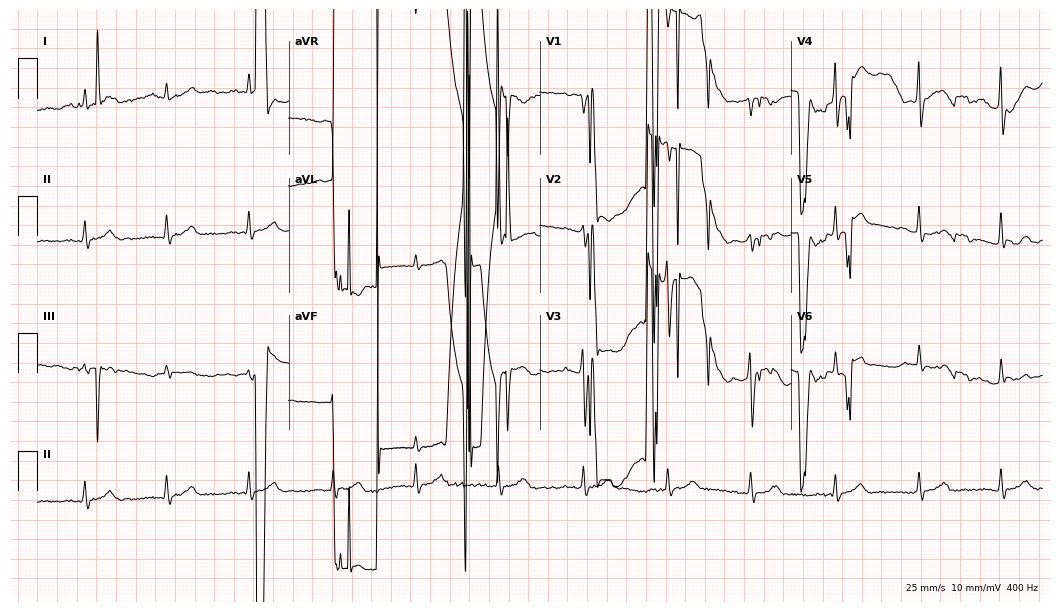
Electrocardiogram (10.2-second recording at 400 Hz), a 61-year-old male. Of the six screened findings (first-degree AV block, right bundle branch block (RBBB), left bundle branch block (LBBB), sinus bradycardia, atrial fibrillation (AF), sinus tachycardia), none is recorded.